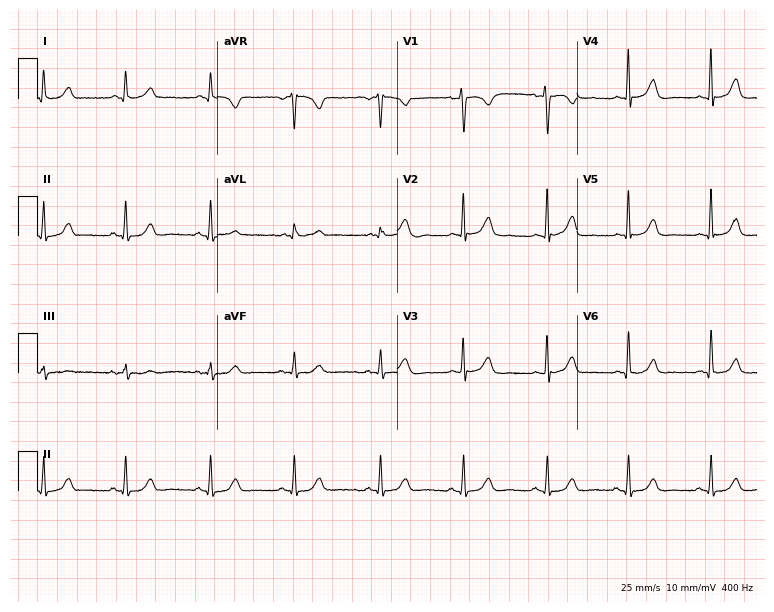
12-lead ECG (7.3-second recording at 400 Hz) from a 44-year-old woman. Screened for six findings — first-degree AV block, right bundle branch block, left bundle branch block, sinus bradycardia, atrial fibrillation, sinus tachycardia — none is recorded.